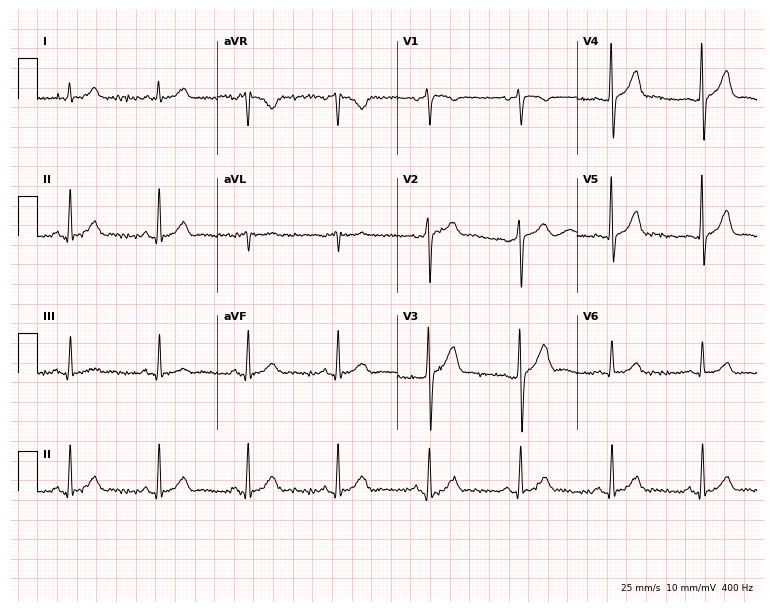
12-lead ECG from a 54-year-old man (7.3-second recording at 400 Hz). No first-degree AV block, right bundle branch block (RBBB), left bundle branch block (LBBB), sinus bradycardia, atrial fibrillation (AF) or sinus tachycardia recorded for this tracing.